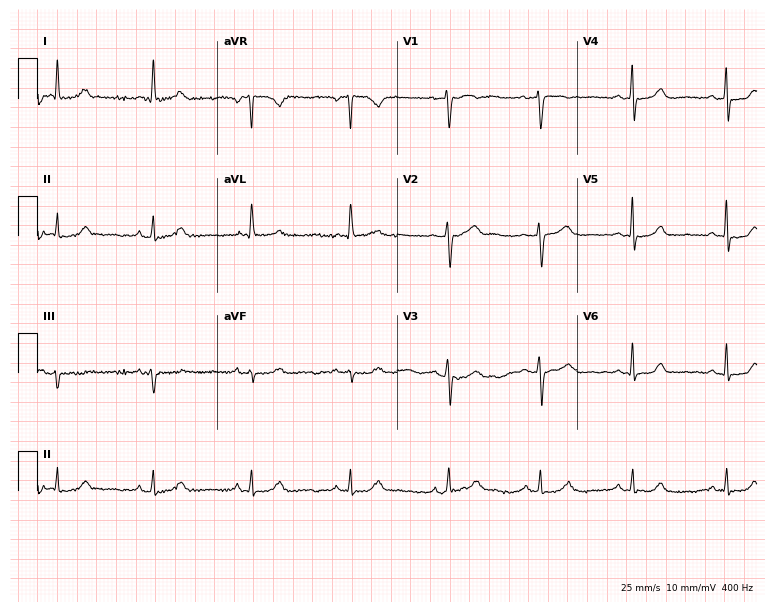
Resting 12-lead electrocardiogram. Patient: a female, 67 years old. Read as a normal ECG.